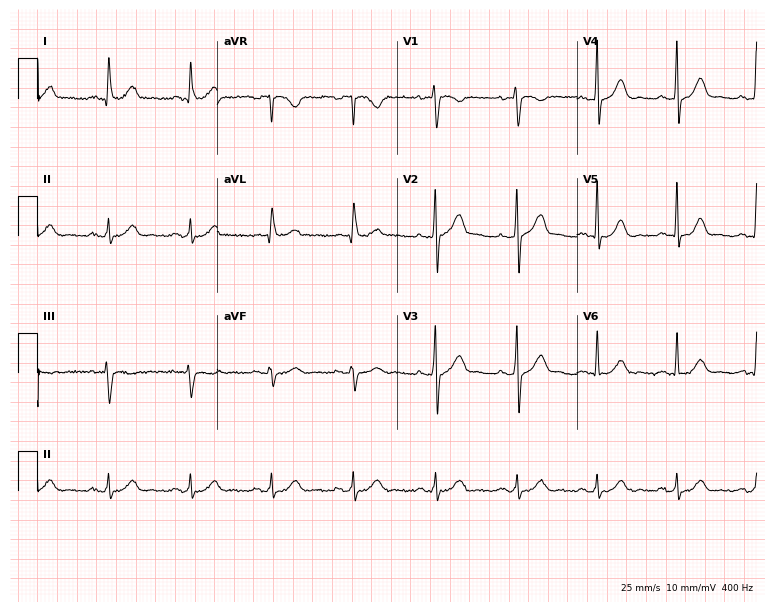
12-lead ECG from a 56-year-old man. Recorded interpretation: within normal limits.